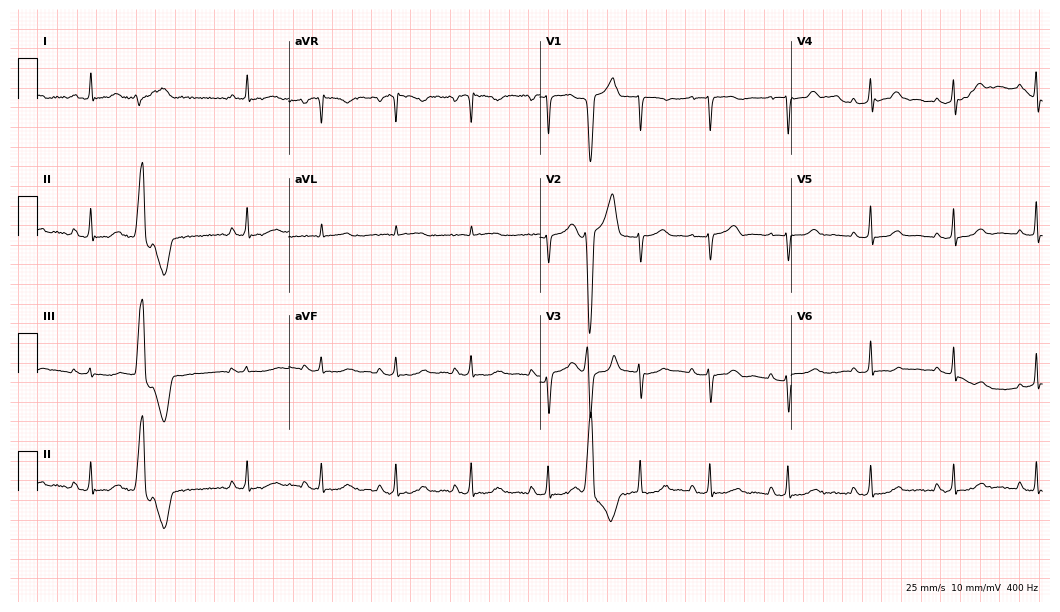
12-lead ECG from a 55-year-old woman (10.2-second recording at 400 Hz). No first-degree AV block, right bundle branch block, left bundle branch block, sinus bradycardia, atrial fibrillation or sinus tachycardia recorded for this tracing.